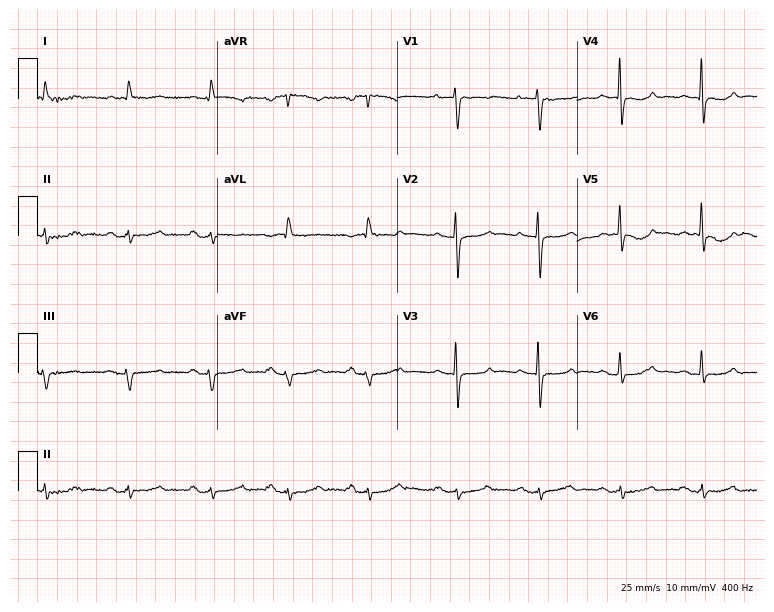
Electrocardiogram (7.3-second recording at 400 Hz), an 80-year-old female. Of the six screened findings (first-degree AV block, right bundle branch block, left bundle branch block, sinus bradycardia, atrial fibrillation, sinus tachycardia), none is recorded.